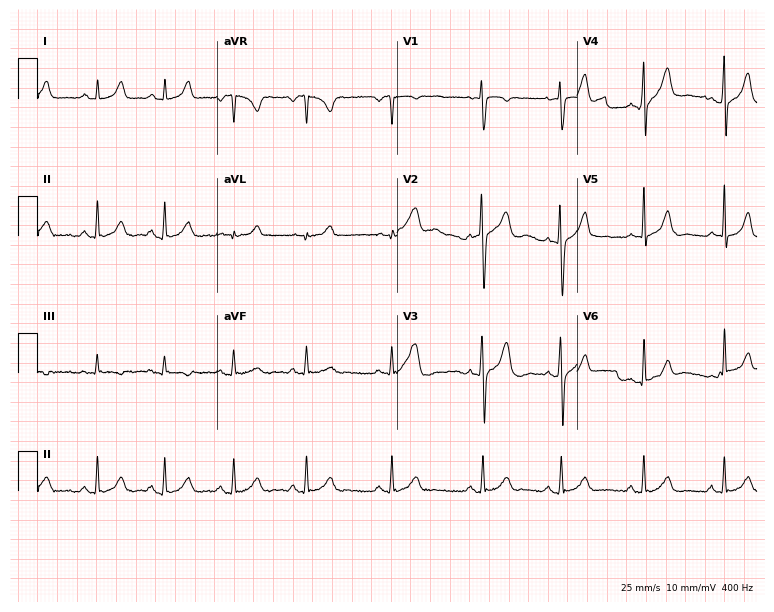
Electrocardiogram (7.3-second recording at 400 Hz), a 24-year-old woman. Overall reading on record: normal ECG.